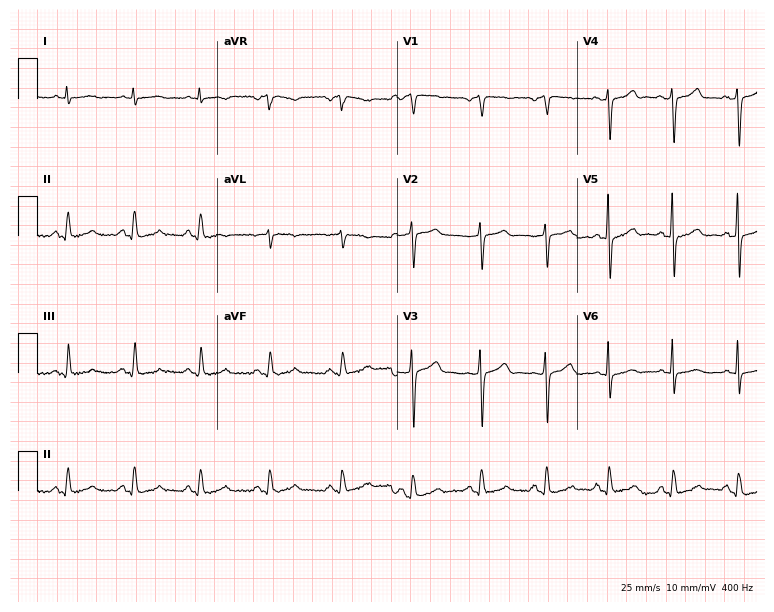
Electrocardiogram, a 72-year-old male patient. Of the six screened findings (first-degree AV block, right bundle branch block, left bundle branch block, sinus bradycardia, atrial fibrillation, sinus tachycardia), none is recorded.